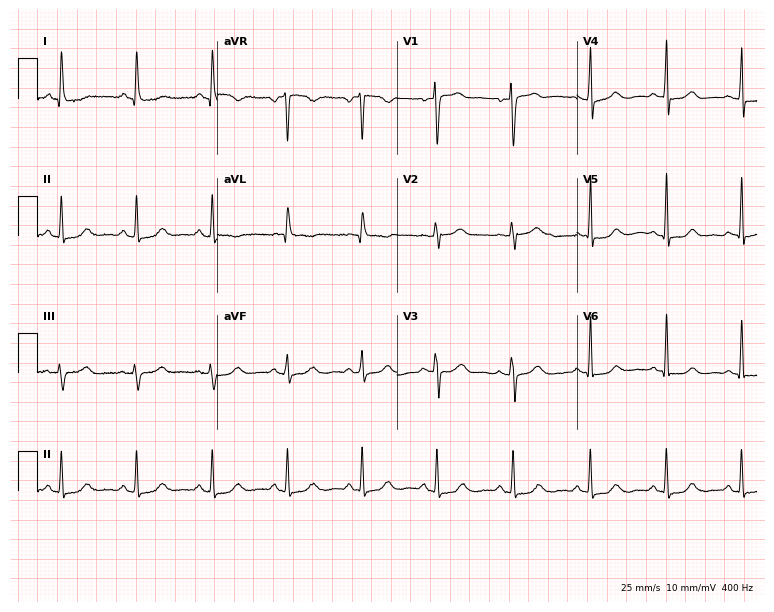
Resting 12-lead electrocardiogram. Patient: a 22-year-old female. Read as a normal ECG.